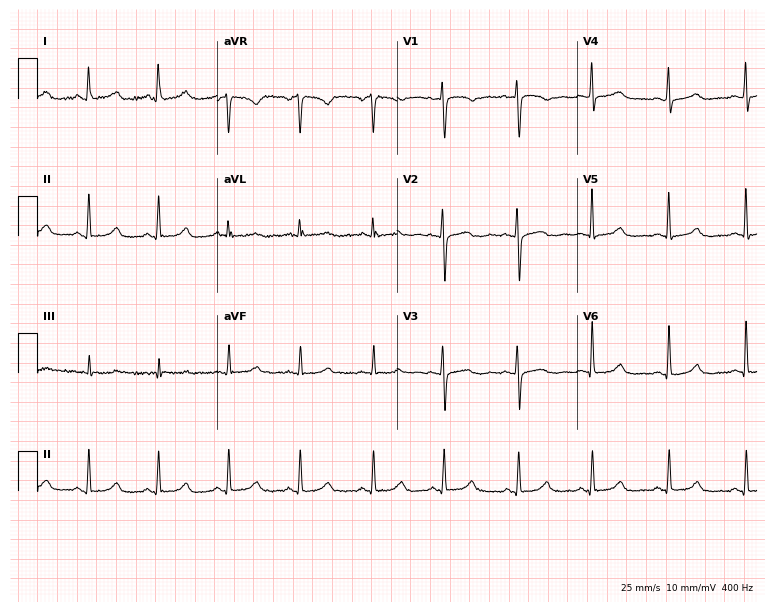
12-lead ECG (7.3-second recording at 400 Hz) from a woman, 45 years old. Screened for six findings — first-degree AV block, right bundle branch block, left bundle branch block, sinus bradycardia, atrial fibrillation, sinus tachycardia — none is recorded.